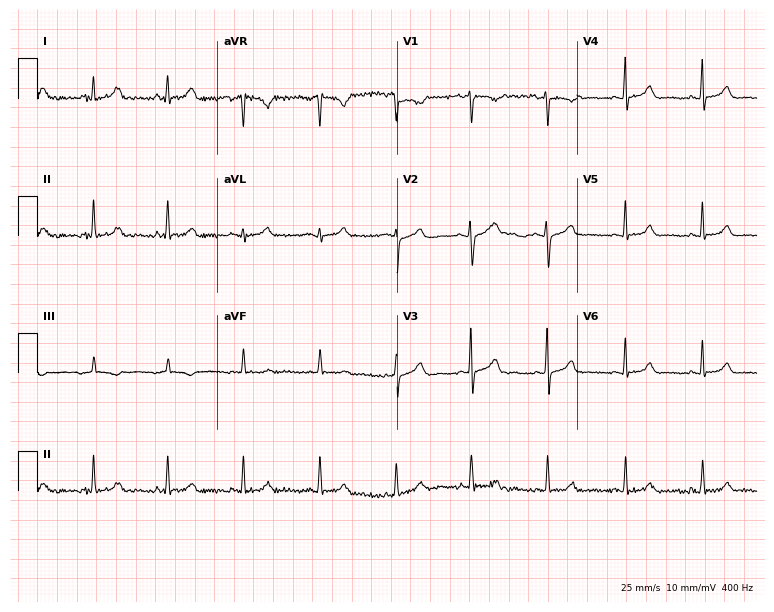
12-lead ECG from a 31-year-old female. Screened for six findings — first-degree AV block, right bundle branch block, left bundle branch block, sinus bradycardia, atrial fibrillation, sinus tachycardia — none is recorded.